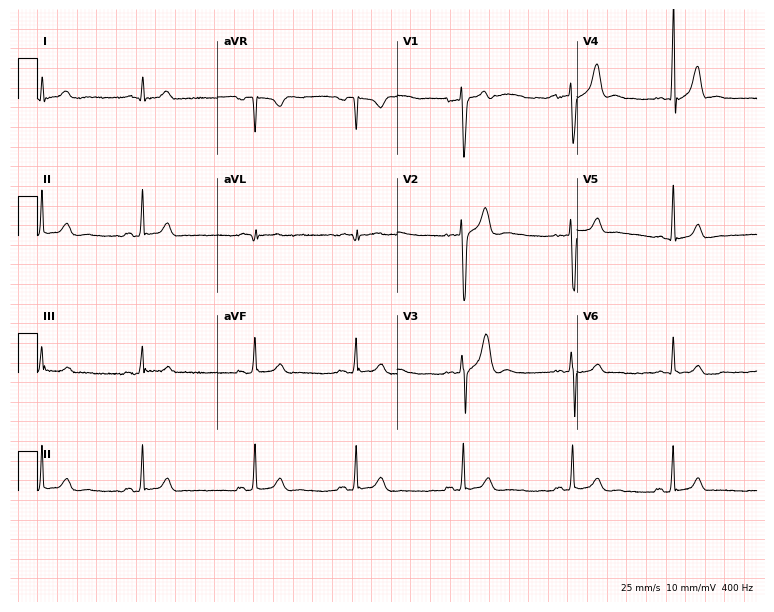
Electrocardiogram (7.3-second recording at 400 Hz), a male patient, 22 years old. Of the six screened findings (first-degree AV block, right bundle branch block, left bundle branch block, sinus bradycardia, atrial fibrillation, sinus tachycardia), none is recorded. Other findings, if any, are not listed.